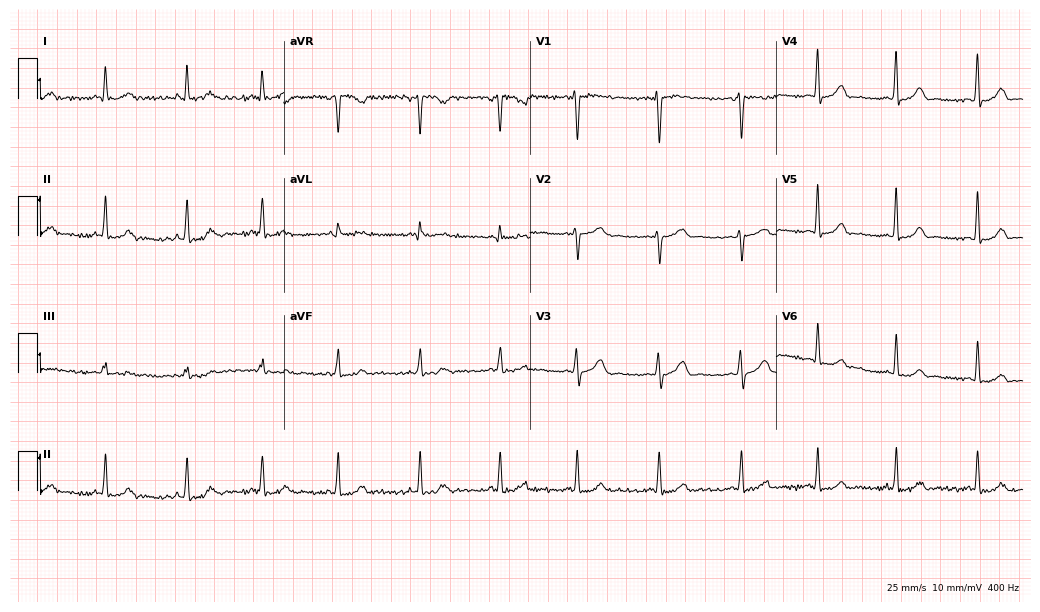
12-lead ECG from a 35-year-old female. No first-degree AV block, right bundle branch block, left bundle branch block, sinus bradycardia, atrial fibrillation or sinus tachycardia recorded for this tracing. Only these six findings were labelled.